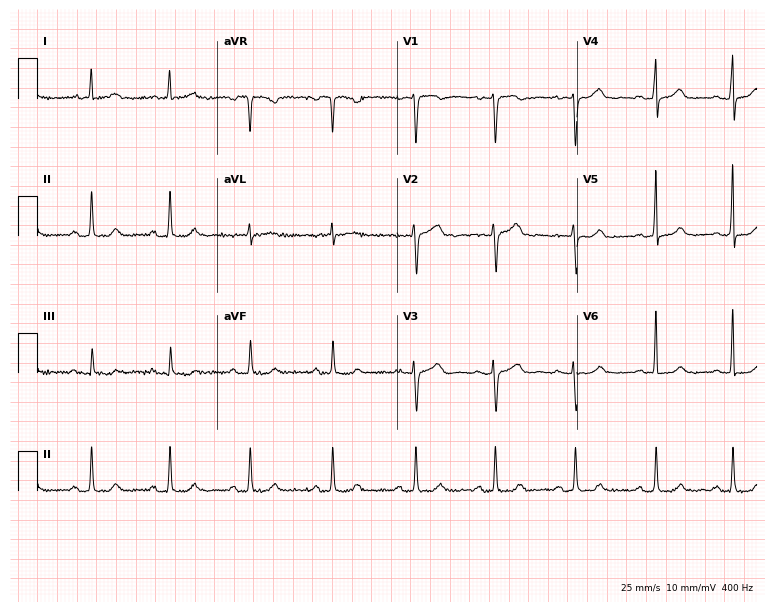
Standard 12-lead ECG recorded from a 40-year-old woman (7.3-second recording at 400 Hz). Read as a normal ECG.